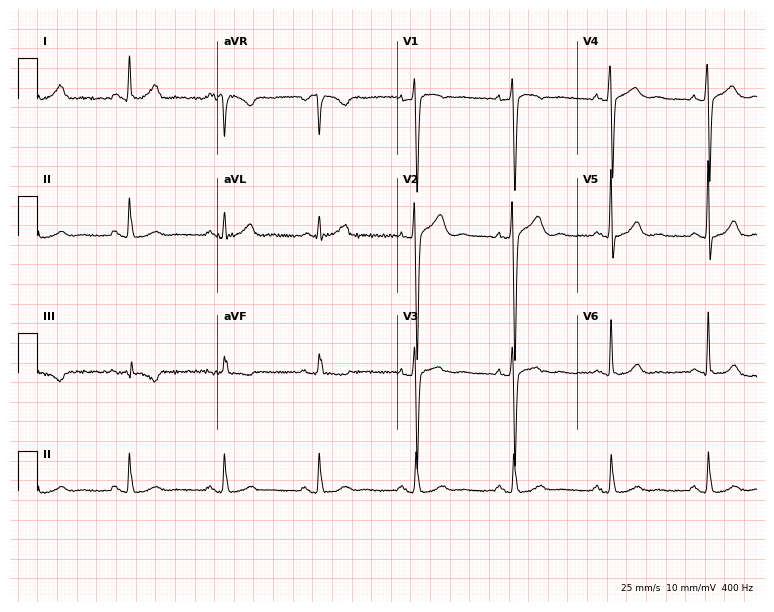
Standard 12-lead ECG recorded from a 61-year-old male patient. Read as a normal ECG.